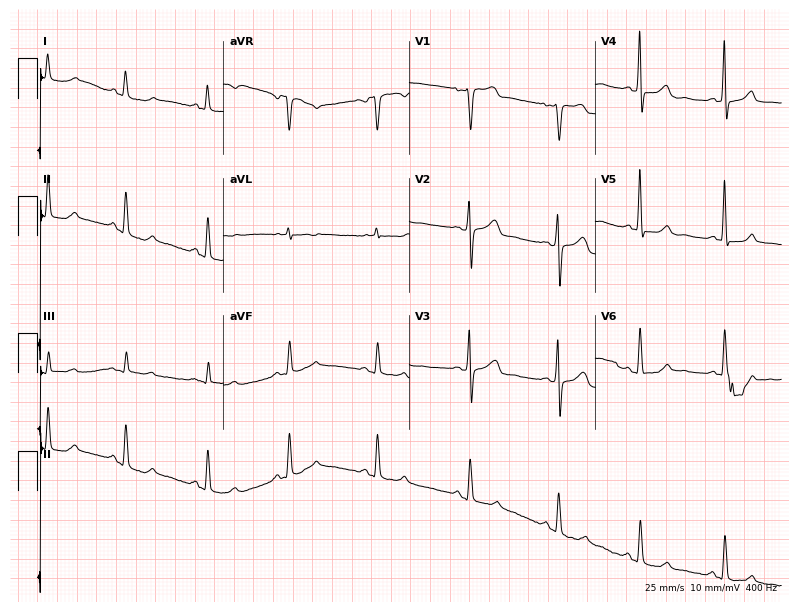
Standard 12-lead ECG recorded from a woman, 51 years old. Read as a normal ECG.